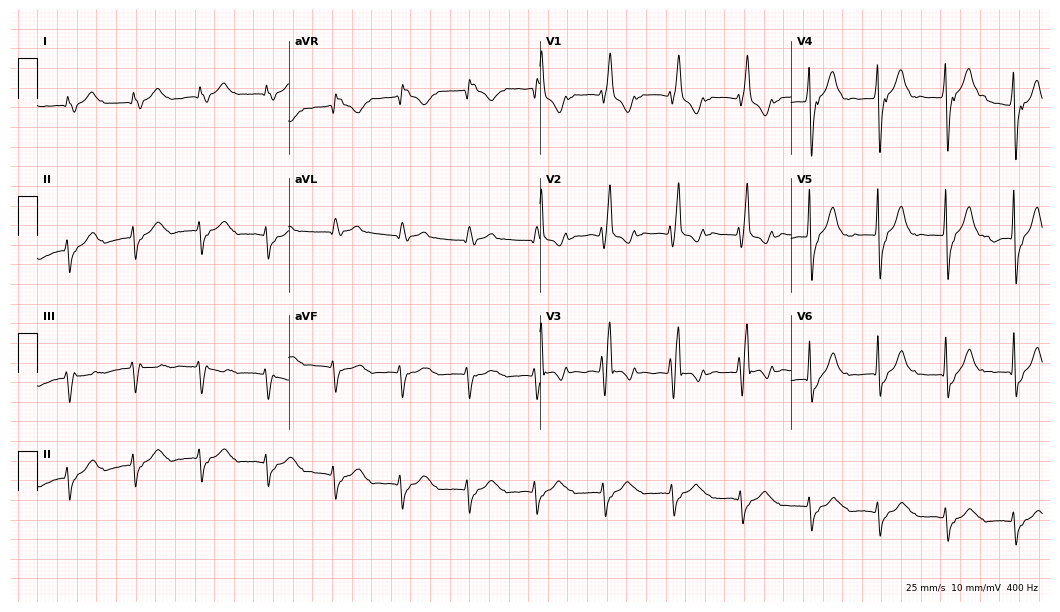
Resting 12-lead electrocardiogram. Patient: a 79-year-old male. The tracing shows right bundle branch block.